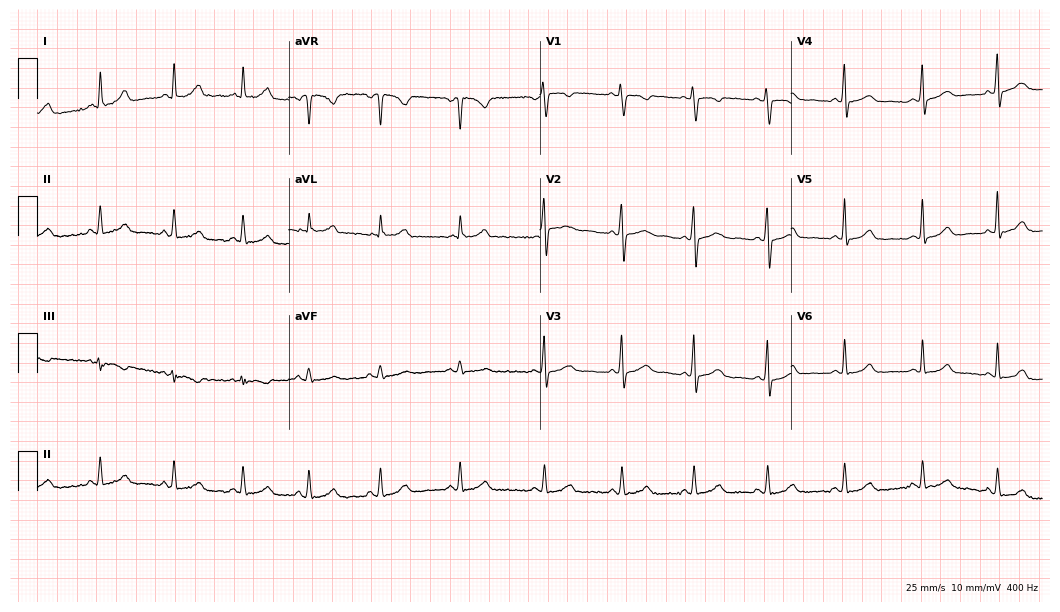
Resting 12-lead electrocardiogram. Patient: a 32-year-old female. Read as a normal ECG.